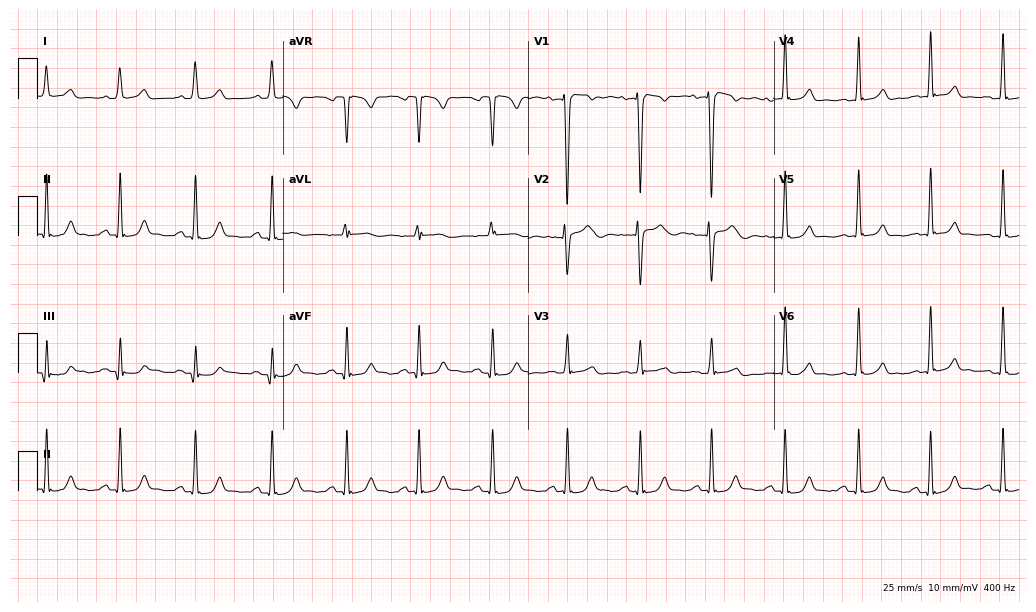
Standard 12-lead ECG recorded from a woman, 28 years old. None of these six findings is recorded: first-degree AV block, right bundle branch block (RBBB), left bundle branch block (LBBB), sinus bradycardia, atrial fibrillation (AF), sinus tachycardia. Findings outside these six are not listed.